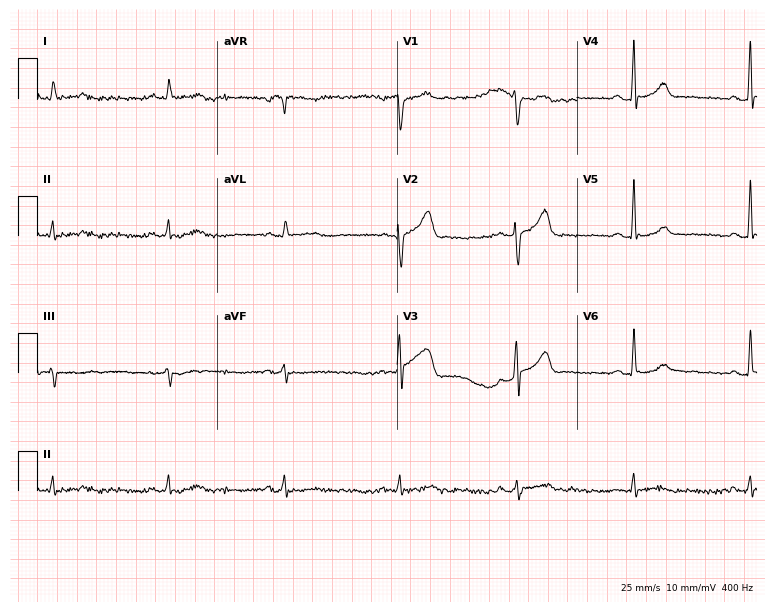
ECG — a man, 66 years old. Screened for six findings — first-degree AV block, right bundle branch block, left bundle branch block, sinus bradycardia, atrial fibrillation, sinus tachycardia — none is recorded.